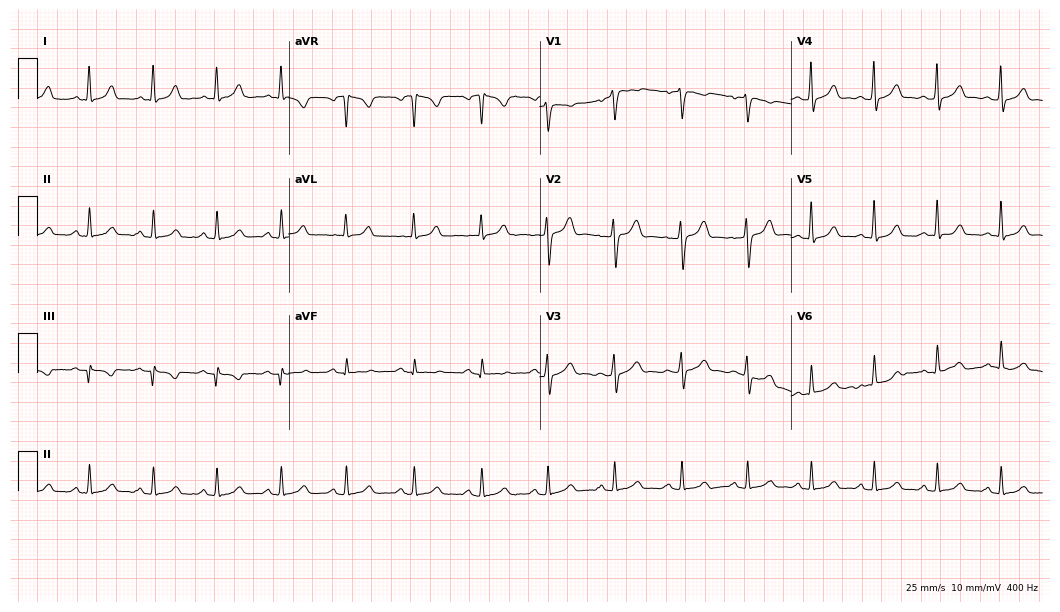
ECG (10.2-second recording at 400 Hz) — a woman, 38 years old. Labelled as a normal ECG.